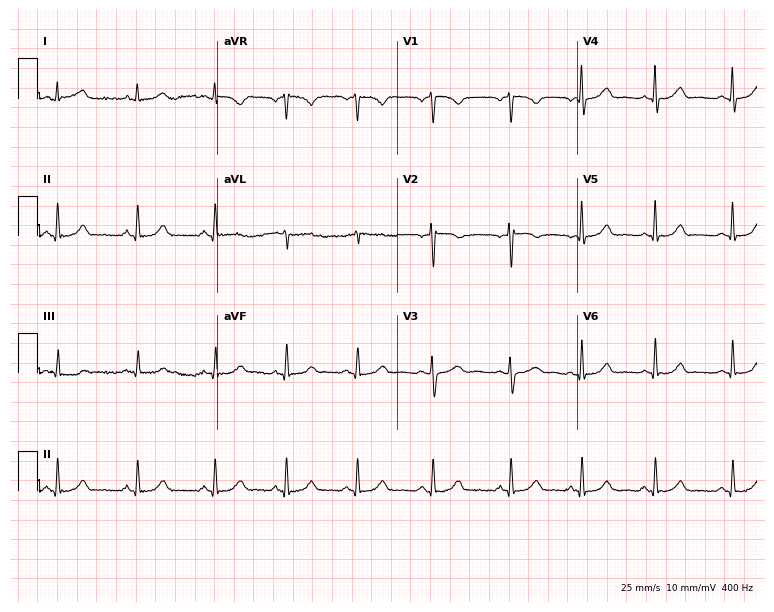
ECG — a female, 37 years old. Screened for six findings — first-degree AV block, right bundle branch block, left bundle branch block, sinus bradycardia, atrial fibrillation, sinus tachycardia — none is recorded. Other findings, if any, are not listed.